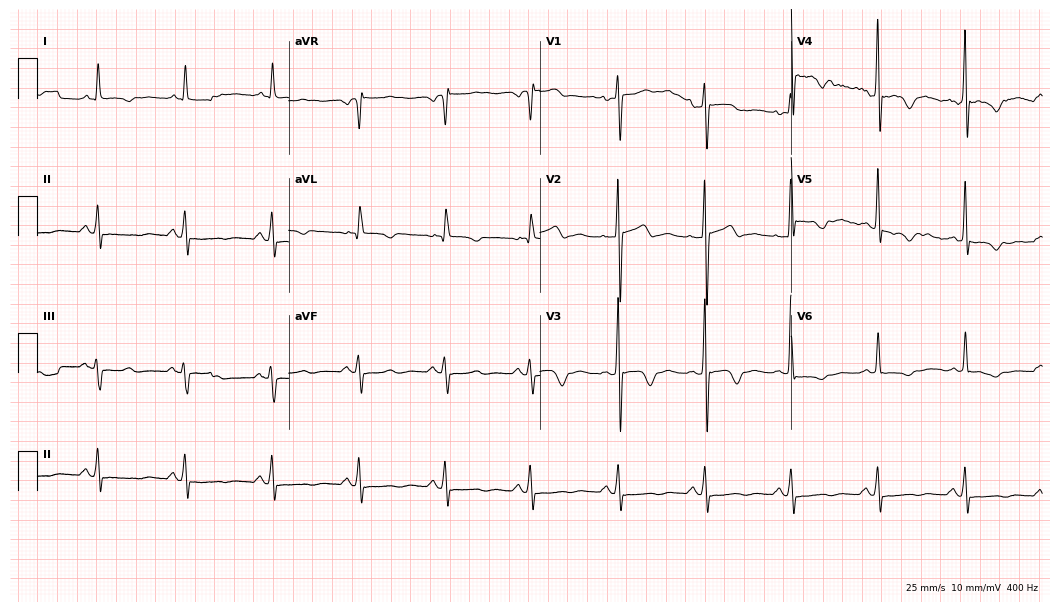
Resting 12-lead electrocardiogram (10.2-second recording at 400 Hz). Patient: a female, 48 years old. None of these six findings is recorded: first-degree AV block, right bundle branch block, left bundle branch block, sinus bradycardia, atrial fibrillation, sinus tachycardia.